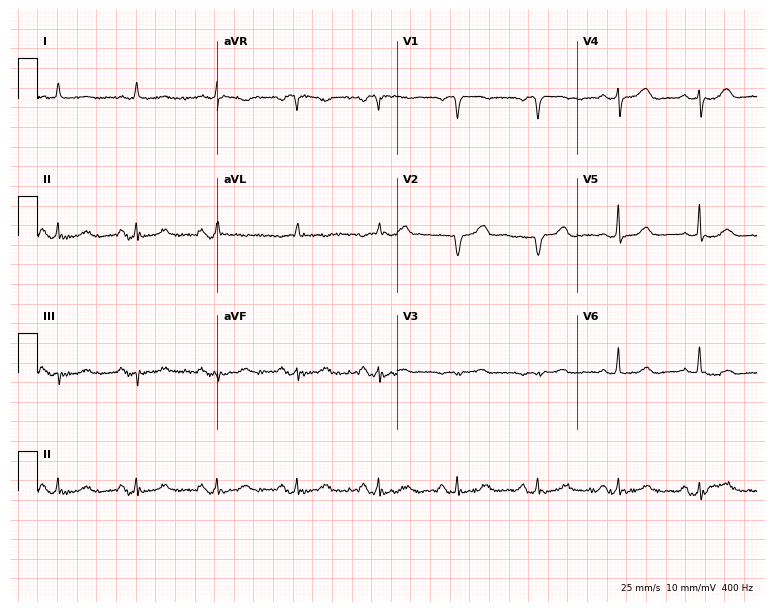
ECG (7.3-second recording at 400 Hz) — an 84-year-old male. Screened for six findings — first-degree AV block, right bundle branch block, left bundle branch block, sinus bradycardia, atrial fibrillation, sinus tachycardia — none is recorded.